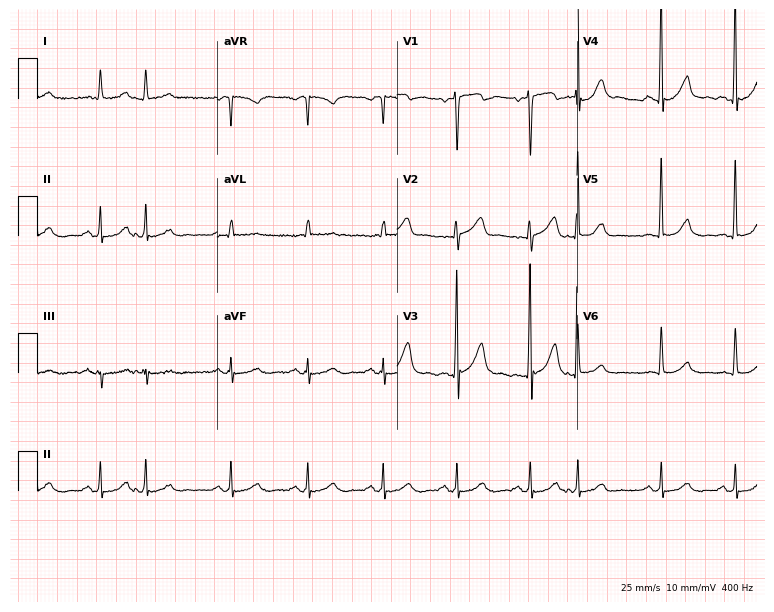
12-lead ECG from a man, 62 years old. Screened for six findings — first-degree AV block, right bundle branch block, left bundle branch block, sinus bradycardia, atrial fibrillation, sinus tachycardia — none is recorded. Other findings, if any, are not listed.